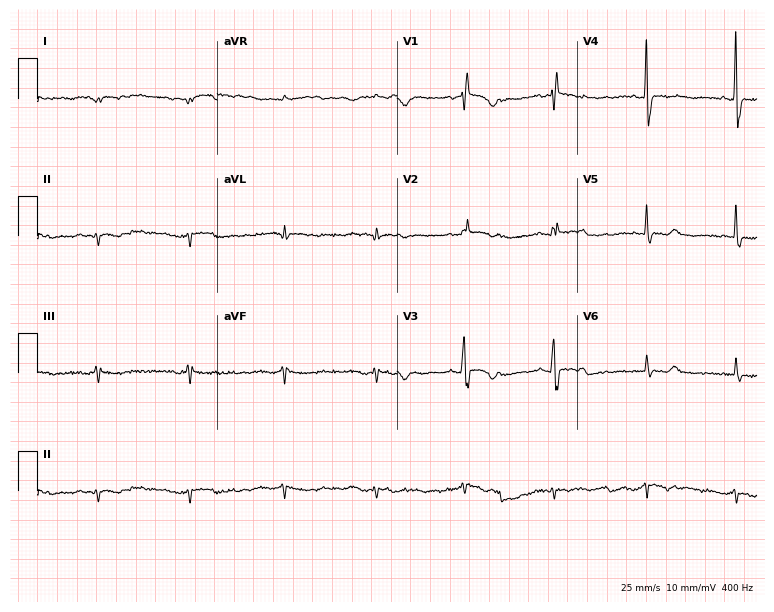
Resting 12-lead electrocardiogram. Patient: a female, 56 years old. None of these six findings is recorded: first-degree AV block, right bundle branch block, left bundle branch block, sinus bradycardia, atrial fibrillation, sinus tachycardia. Findings outside these six are not listed.